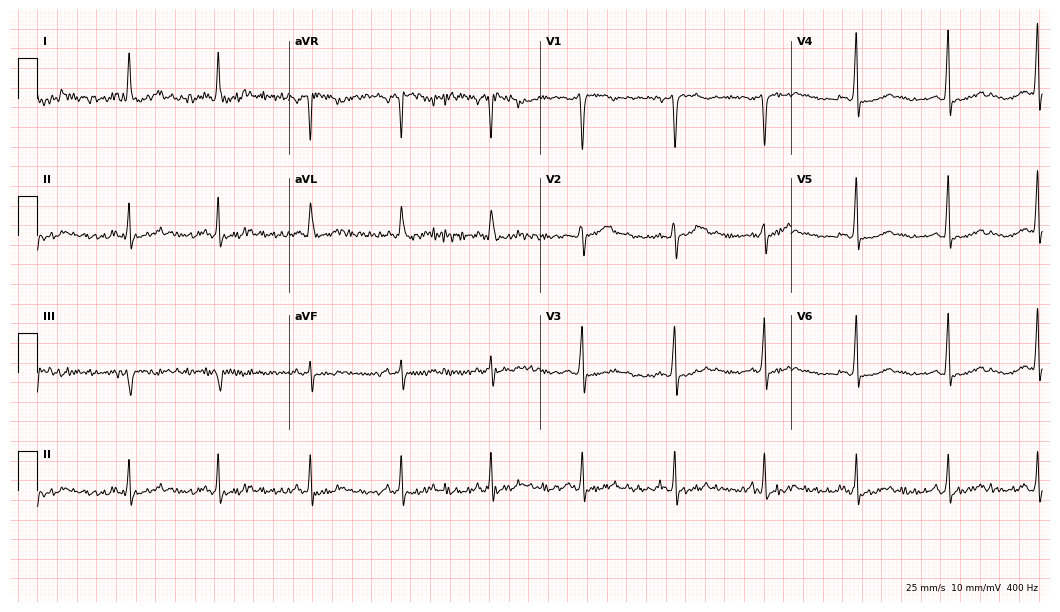
12-lead ECG from a 46-year-old woman. Screened for six findings — first-degree AV block, right bundle branch block, left bundle branch block, sinus bradycardia, atrial fibrillation, sinus tachycardia — none is recorded. Findings outside these six are not listed.